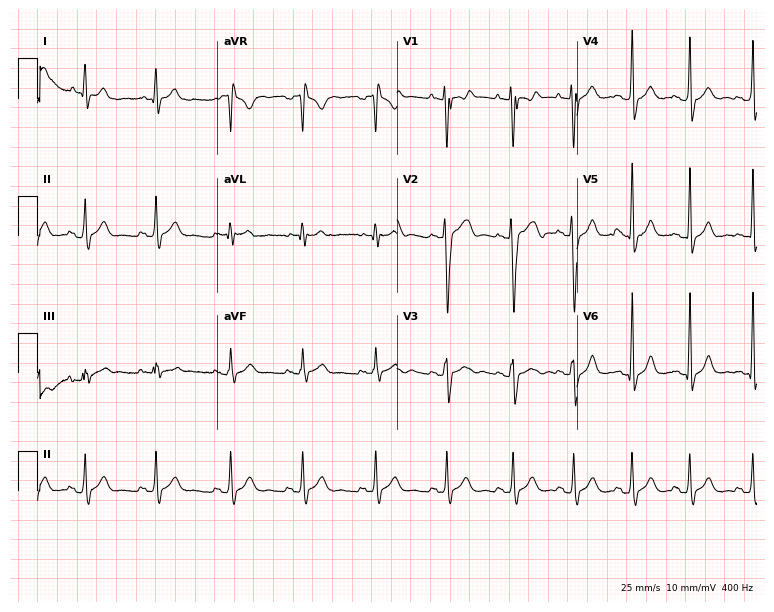
ECG (7.3-second recording at 400 Hz) — a man, 17 years old. Labelled as a normal ECG.